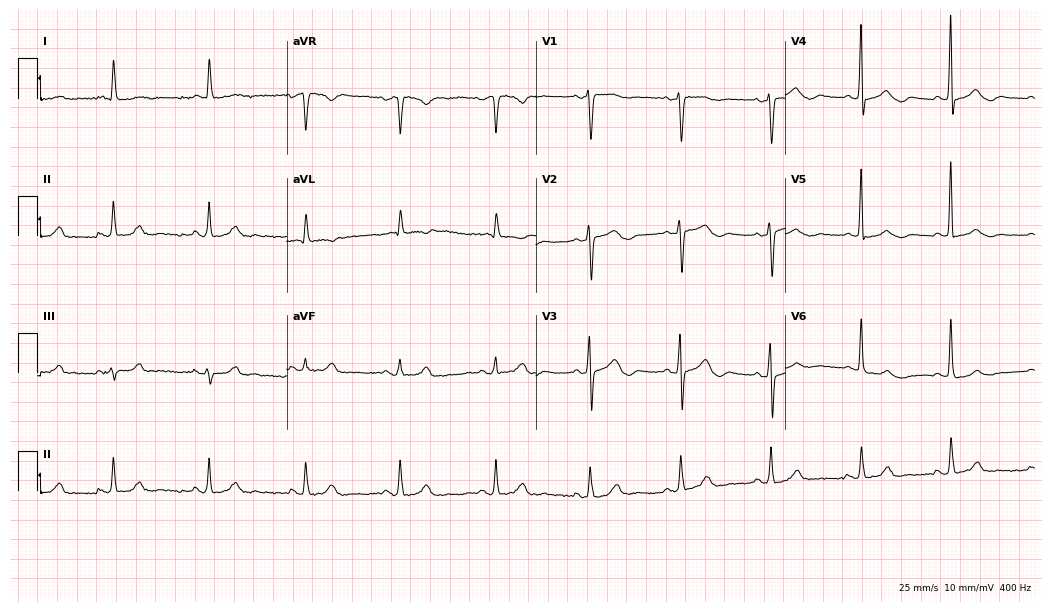
ECG (10.2-second recording at 400 Hz) — a 76-year-old female patient. Screened for six findings — first-degree AV block, right bundle branch block, left bundle branch block, sinus bradycardia, atrial fibrillation, sinus tachycardia — none is recorded. Findings outside these six are not listed.